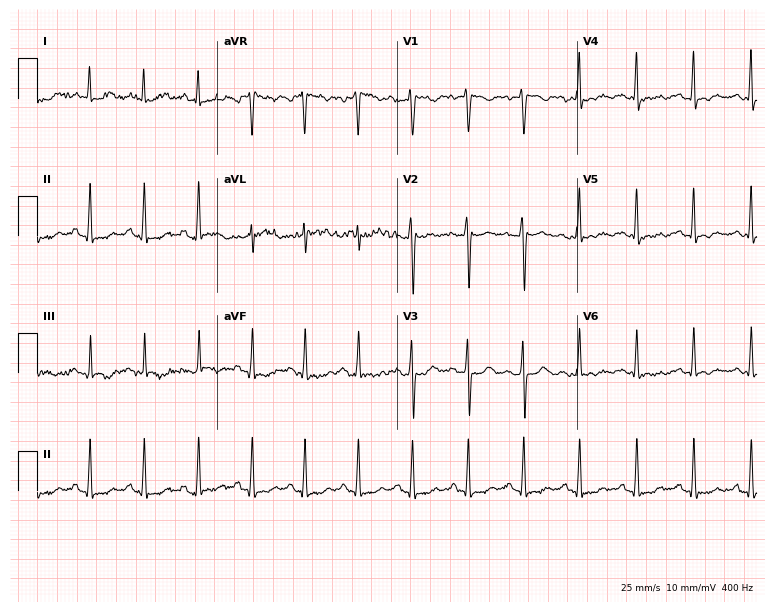
Electrocardiogram (7.3-second recording at 400 Hz), a 21-year-old female patient. Interpretation includes sinus tachycardia (a sinus rate of 100 beats per minute or more).